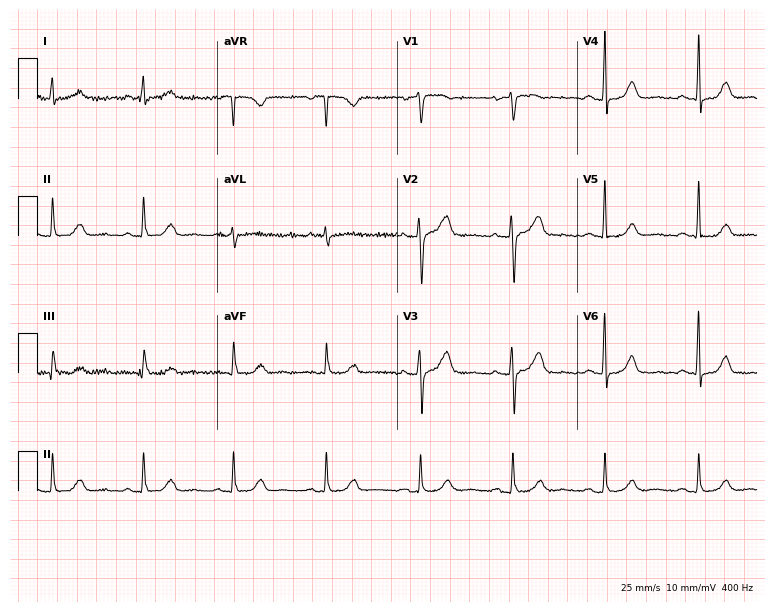
12-lead ECG from a female, 68 years old. Labelled as a normal ECG.